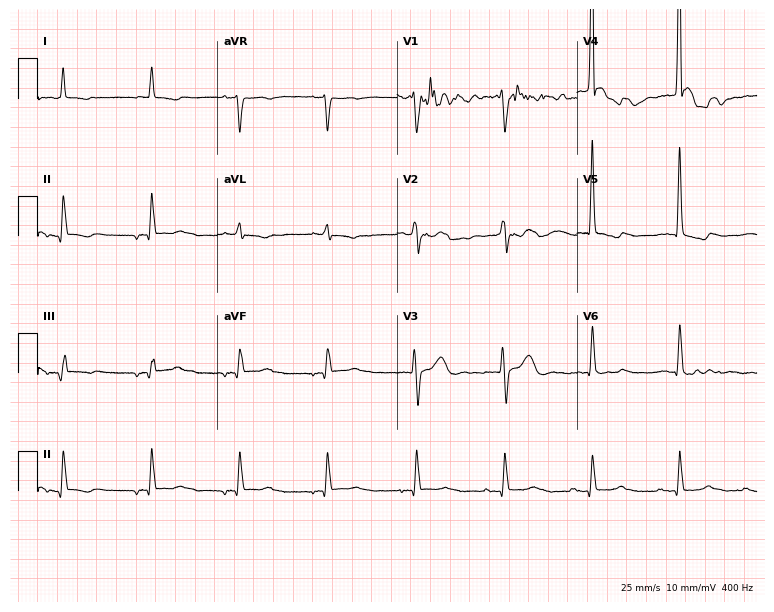
ECG — a male patient, 86 years old. Screened for six findings — first-degree AV block, right bundle branch block, left bundle branch block, sinus bradycardia, atrial fibrillation, sinus tachycardia — none is recorded. Findings outside these six are not listed.